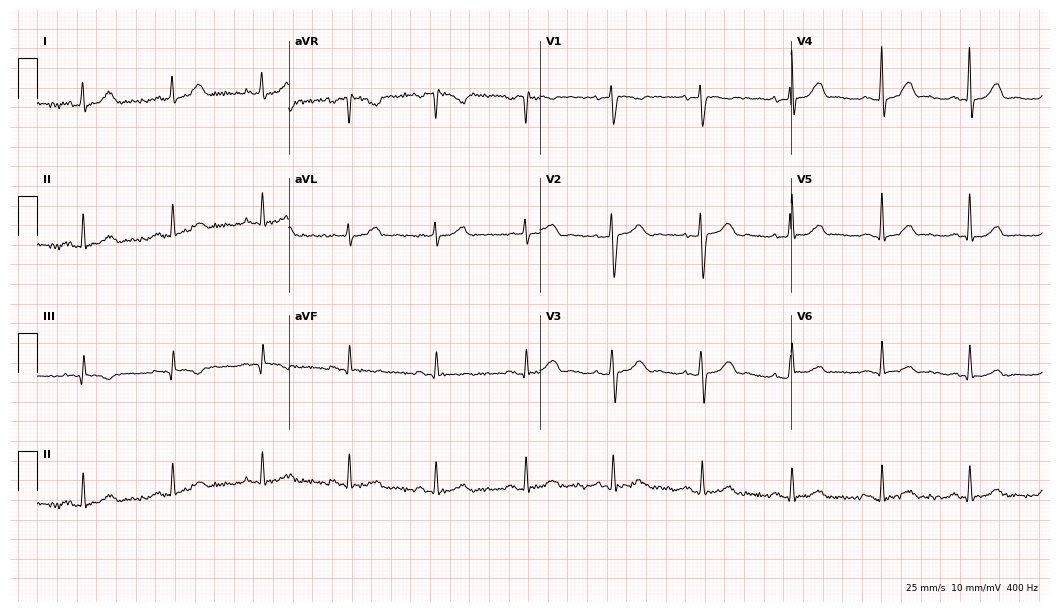
Standard 12-lead ECG recorded from a 50-year-old female. Read as a normal ECG.